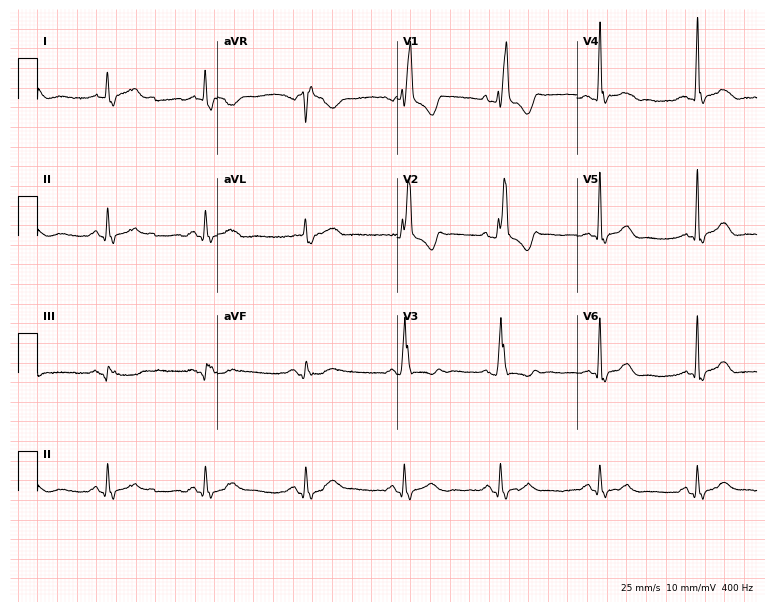
12-lead ECG from a 71-year-old male. Findings include right bundle branch block.